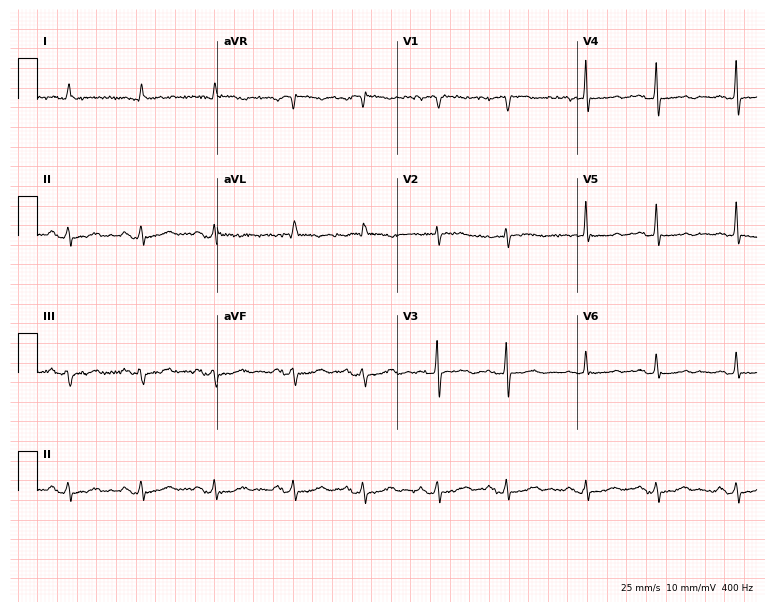
ECG — a woman, 86 years old. Screened for six findings — first-degree AV block, right bundle branch block, left bundle branch block, sinus bradycardia, atrial fibrillation, sinus tachycardia — none is recorded.